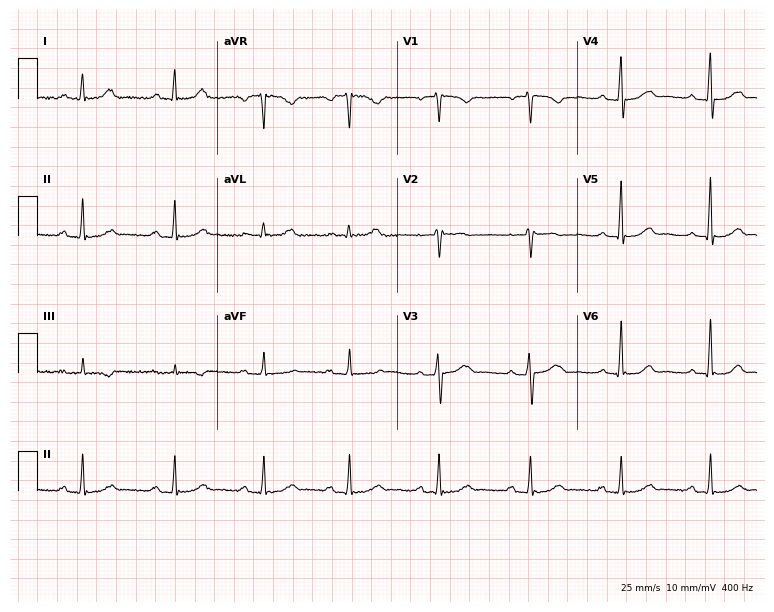
Resting 12-lead electrocardiogram. Patient: a 53-year-old female. Read as a normal ECG.